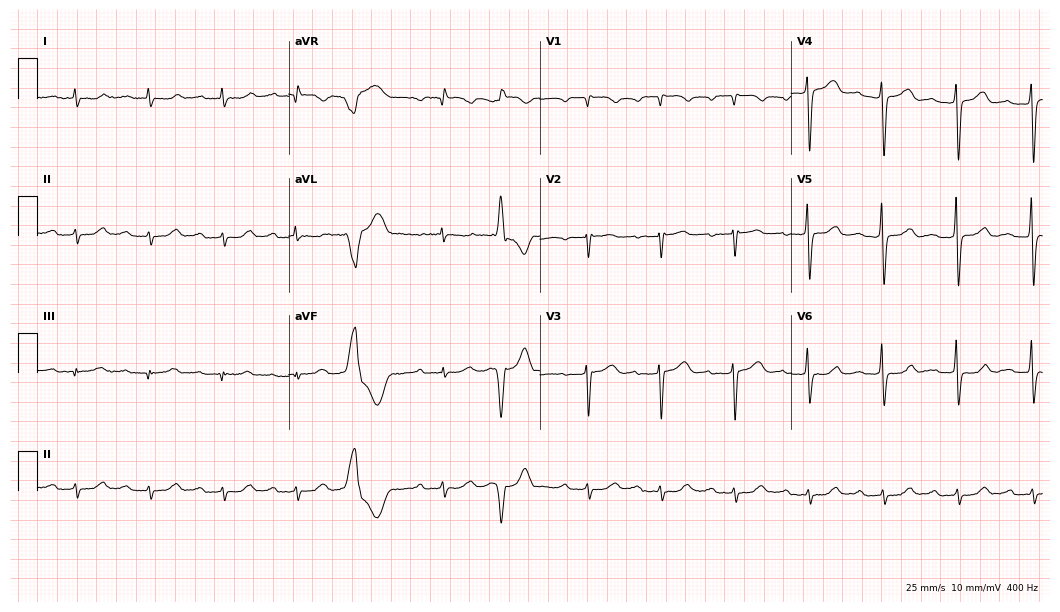
Resting 12-lead electrocardiogram. Patient: a man, 70 years old. The tracing shows first-degree AV block.